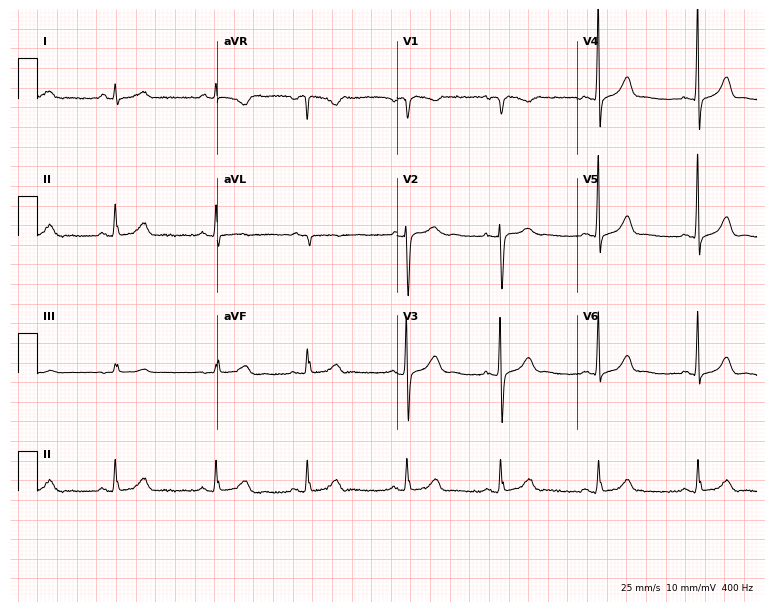
Electrocardiogram (7.3-second recording at 400 Hz), a 31-year-old woman. Of the six screened findings (first-degree AV block, right bundle branch block (RBBB), left bundle branch block (LBBB), sinus bradycardia, atrial fibrillation (AF), sinus tachycardia), none is recorded.